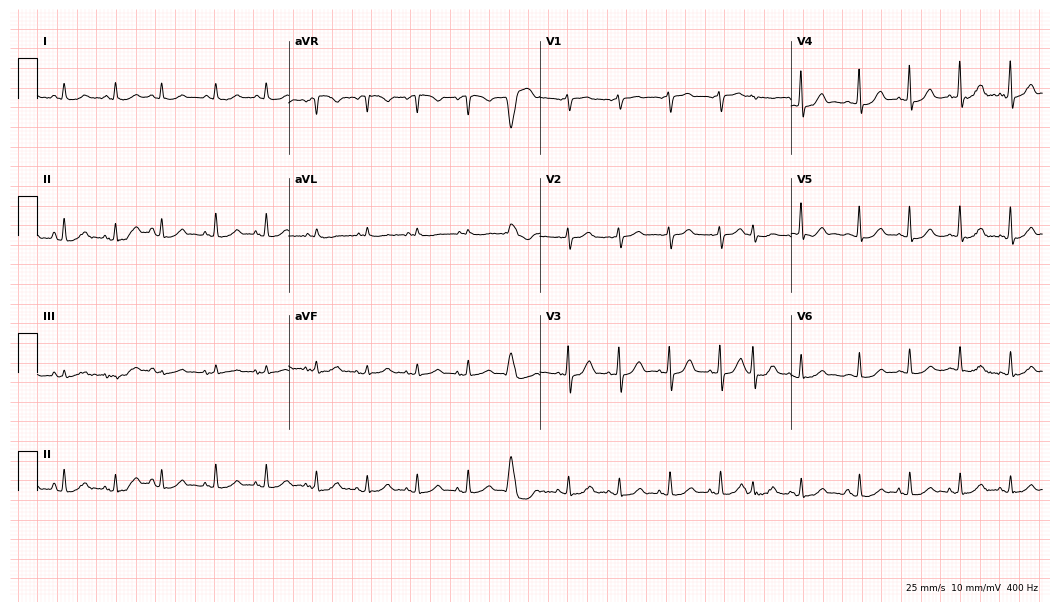
12-lead ECG (10.2-second recording at 400 Hz) from a 78-year-old man. Screened for six findings — first-degree AV block, right bundle branch block, left bundle branch block, sinus bradycardia, atrial fibrillation, sinus tachycardia — none is recorded. Other findings, if any, are not listed.